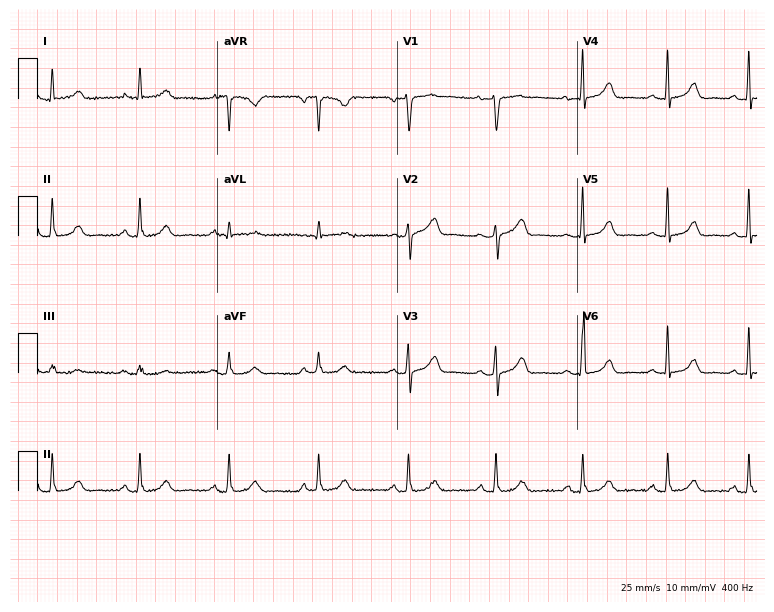
ECG (7.3-second recording at 400 Hz) — a woman, 59 years old. Labelled as a normal ECG.